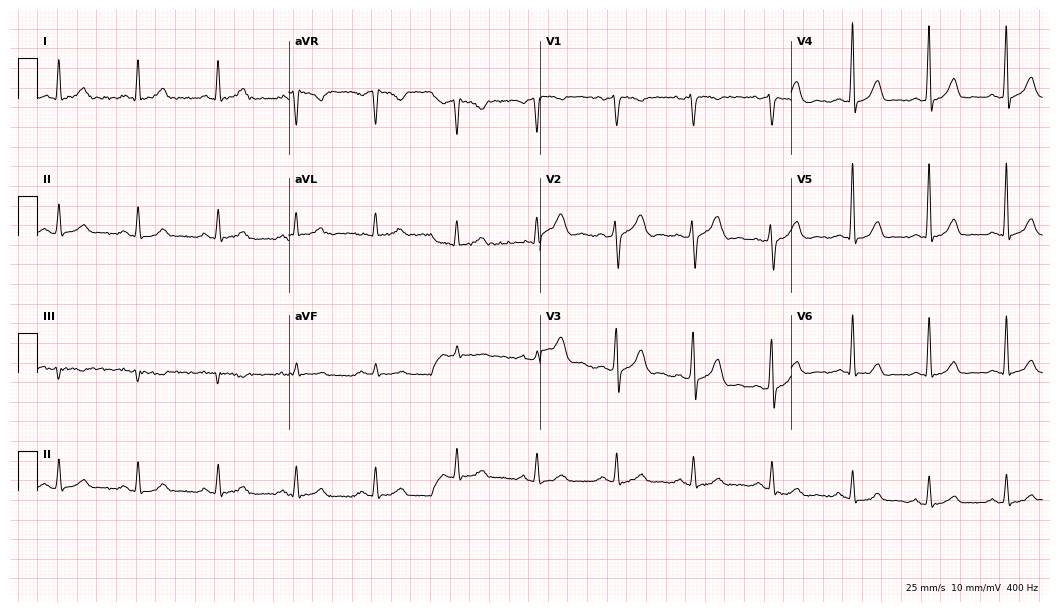
ECG (10.2-second recording at 400 Hz) — a 57-year-old male. Labelled as a normal ECG.